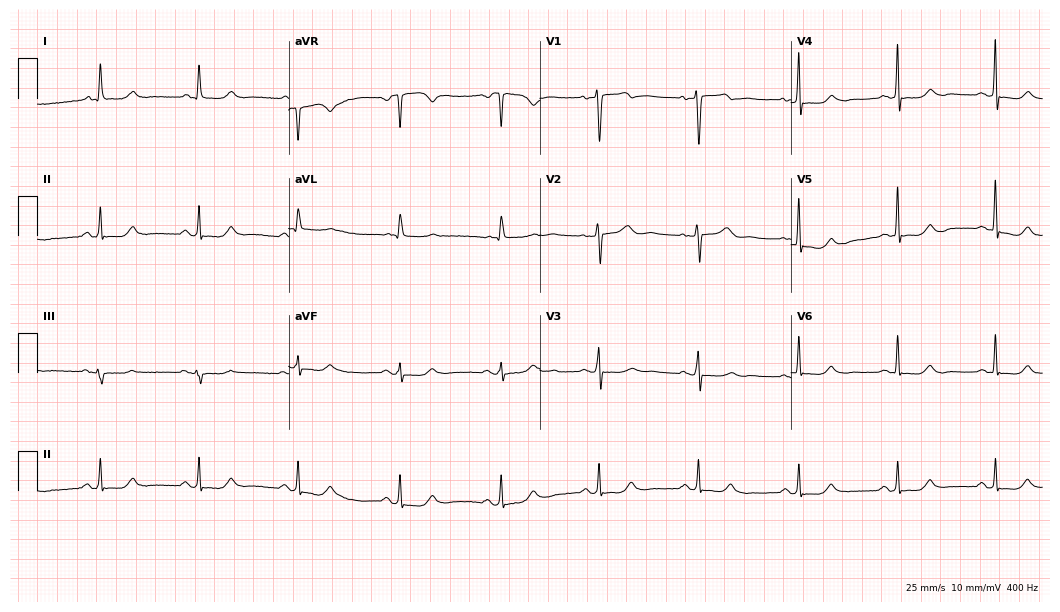
Resting 12-lead electrocardiogram. Patient: a 66-year-old female. Read as a normal ECG.